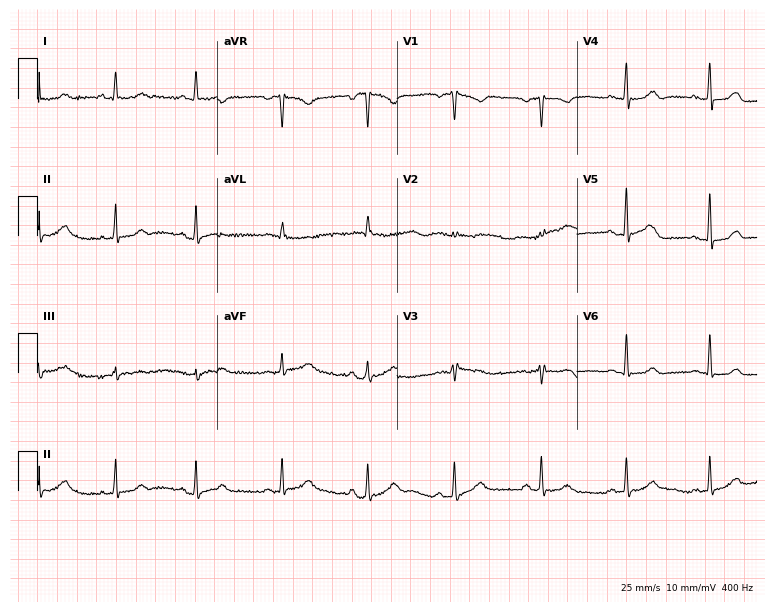
Resting 12-lead electrocardiogram. Patient: a female, 51 years old. Read as a normal ECG.